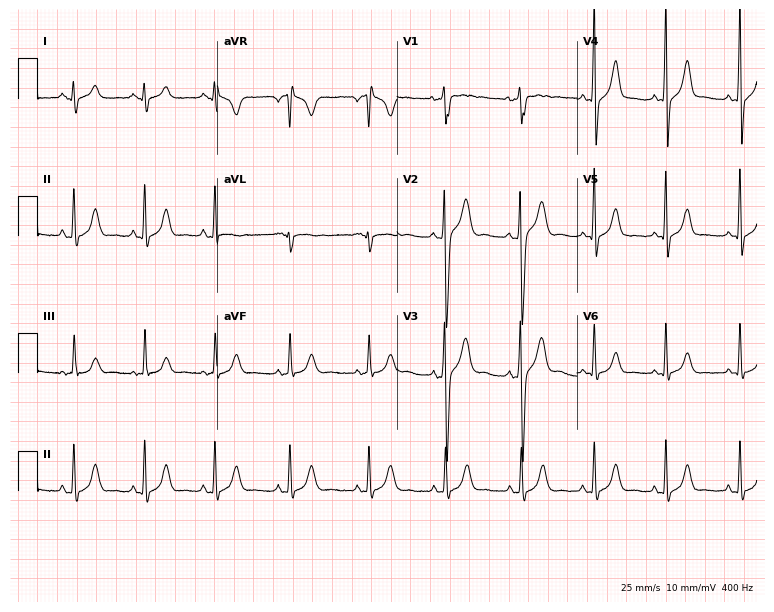
Electrocardiogram, a male patient, 17 years old. Overall reading on record: normal ECG.